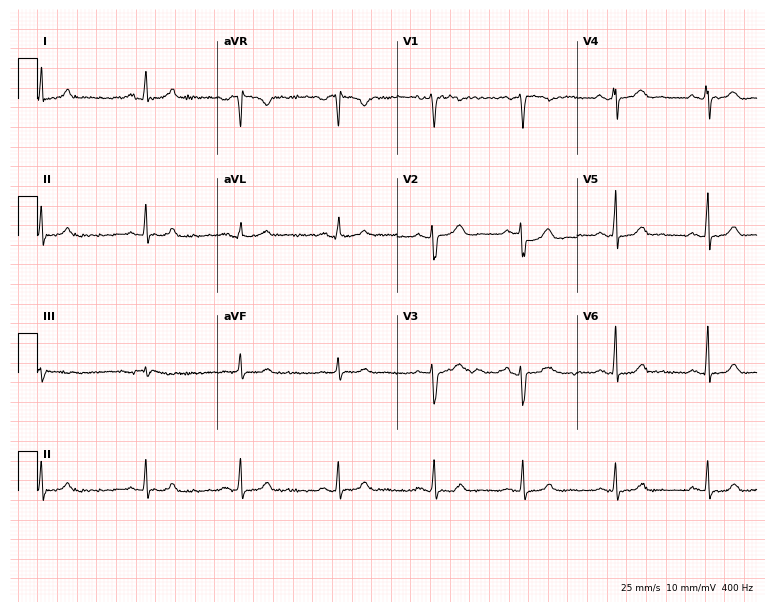
Standard 12-lead ECG recorded from a woman, 38 years old (7.3-second recording at 400 Hz). Read as a normal ECG.